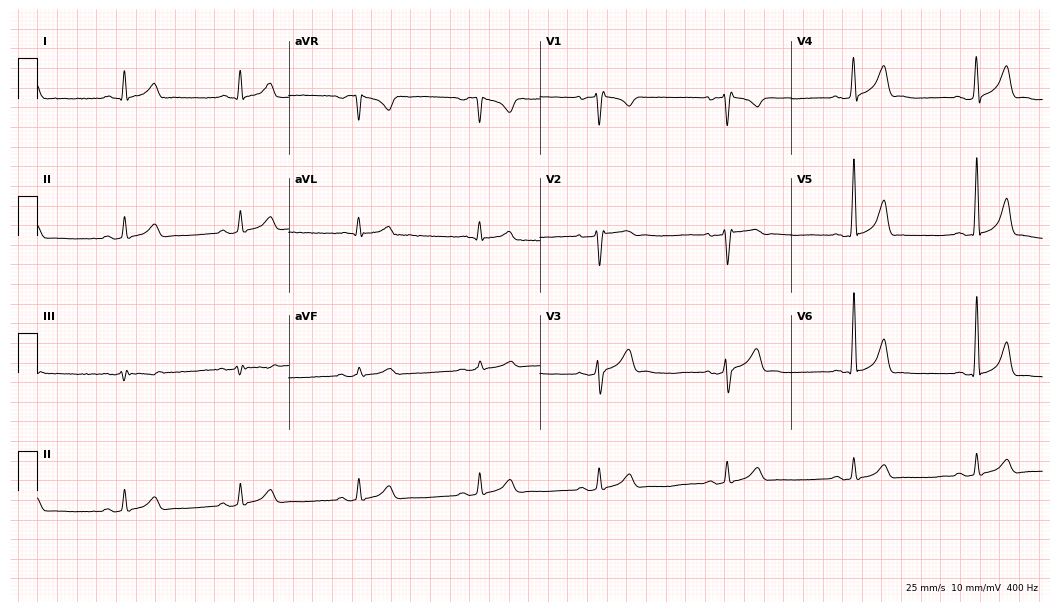
12-lead ECG from a 21-year-old male patient. Findings include sinus bradycardia (a sinus rate of 50 beats per minute or less).